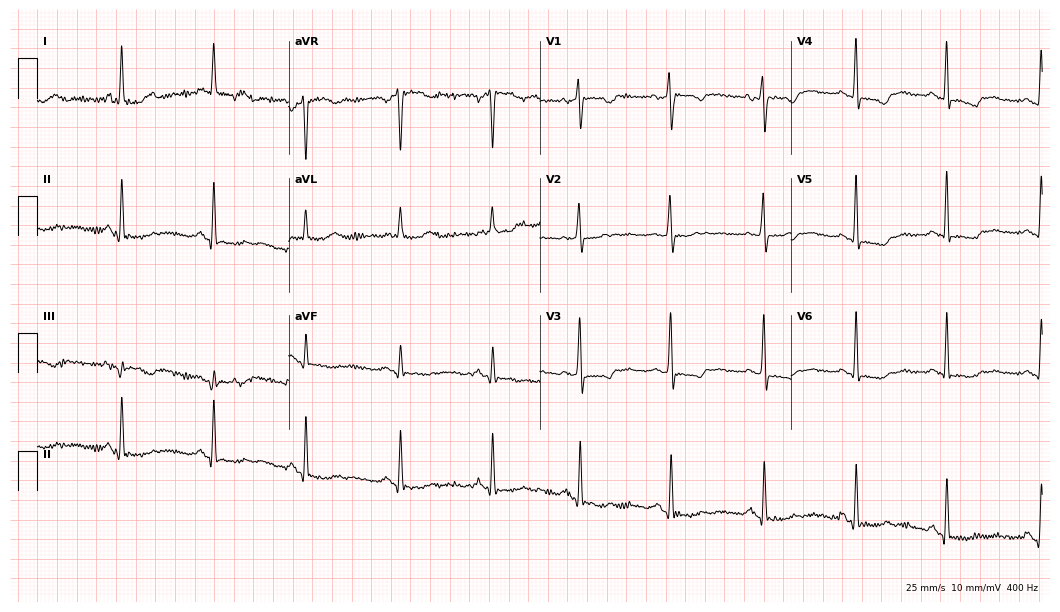
Electrocardiogram (10.2-second recording at 400 Hz), a 54-year-old female. Of the six screened findings (first-degree AV block, right bundle branch block (RBBB), left bundle branch block (LBBB), sinus bradycardia, atrial fibrillation (AF), sinus tachycardia), none is recorded. Findings outside these six are not listed.